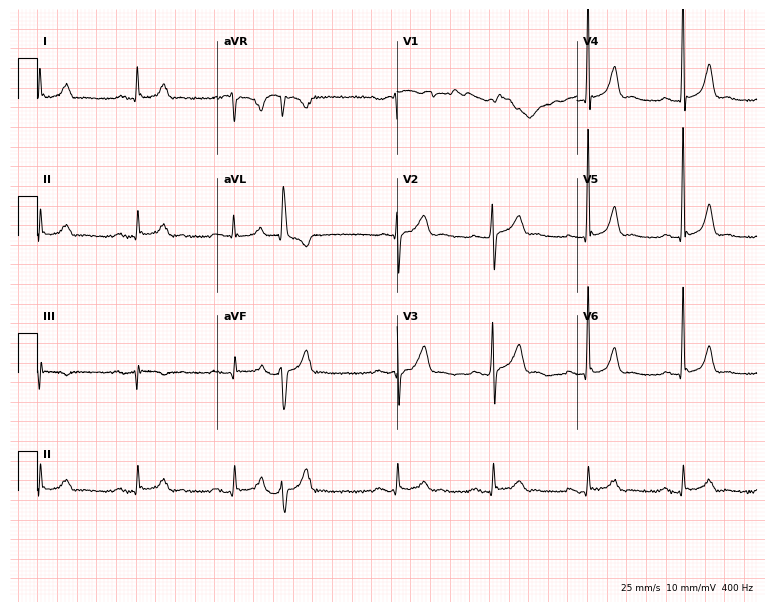
12-lead ECG (7.3-second recording at 400 Hz) from a man, 58 years old. Screened for six findings — first-degree AV block, right bundle branch block, left bundle branch block, sinus bradycardia, atrial fibrillation, sinus tachycardia — none is recorded.